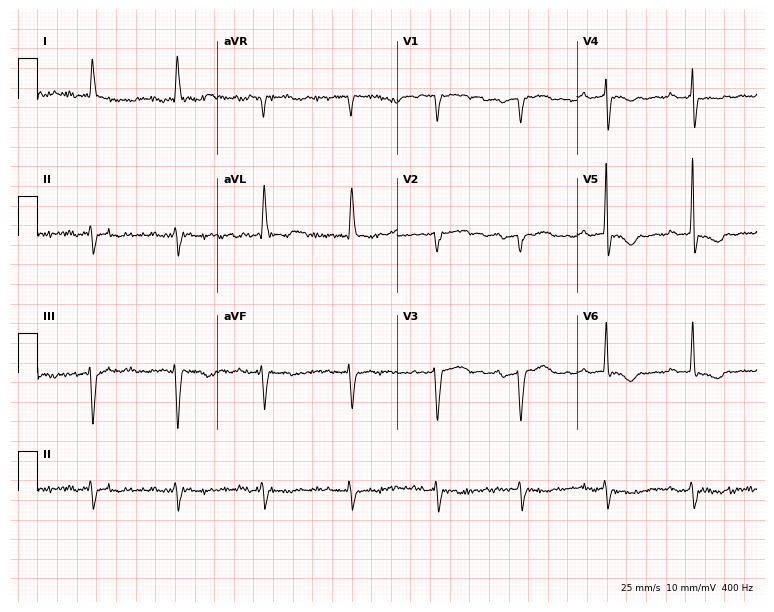
ECG (7.3-second recording at 400 Hz) — a female, 83 years old. Screened for six findings — first-degree AV block, right bundle branch block, left bundle branch block, sinus bradycardia, atrial fibrillation, sinus tachycardia — none is recorded. Only these six findings were labelled.